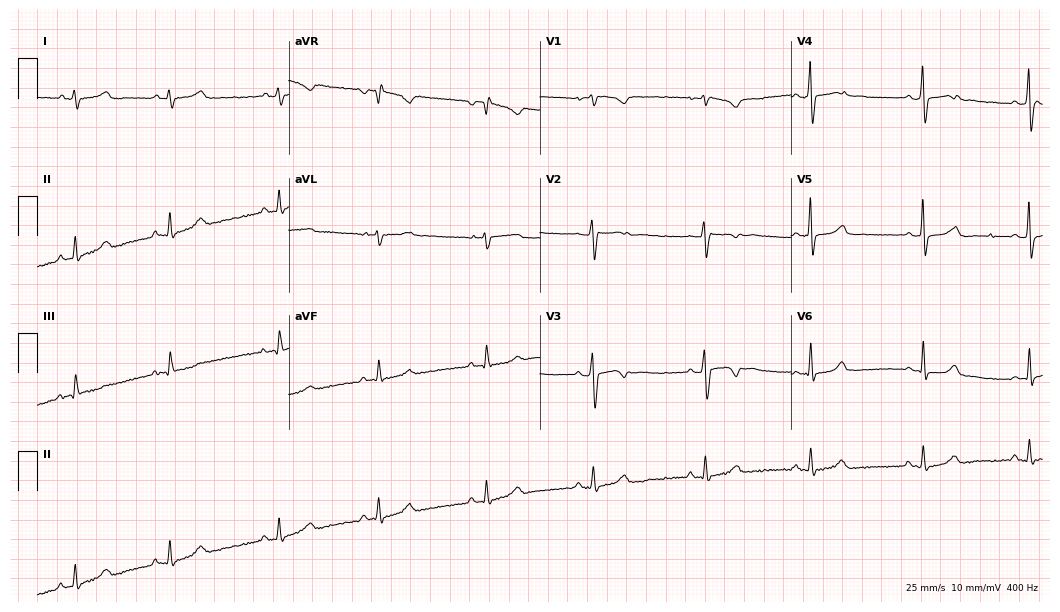
Electrocardiogram, a female, 24 years old. Of the six screened findings (first-degree AV block, right bundle branch block, left bundle branch block, sinus bradycardia, atrial fibrillation, sinus tachycardia), none is recorded. Other findings, if any, are not listed.